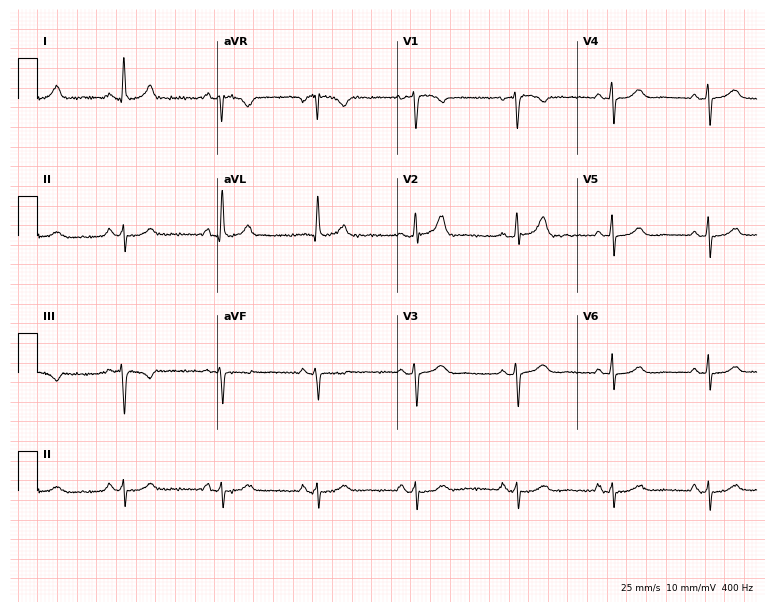
ECG — a 59-year-old woman. Screened for six findings — first-degree AV block, right bundle branch block (RBBB), left bundle branch block (LBBB), sinus bradycardia, atrial fibrillation (AF), sinus tachycardia — none is recorded. Other findings, if any, are not listed.